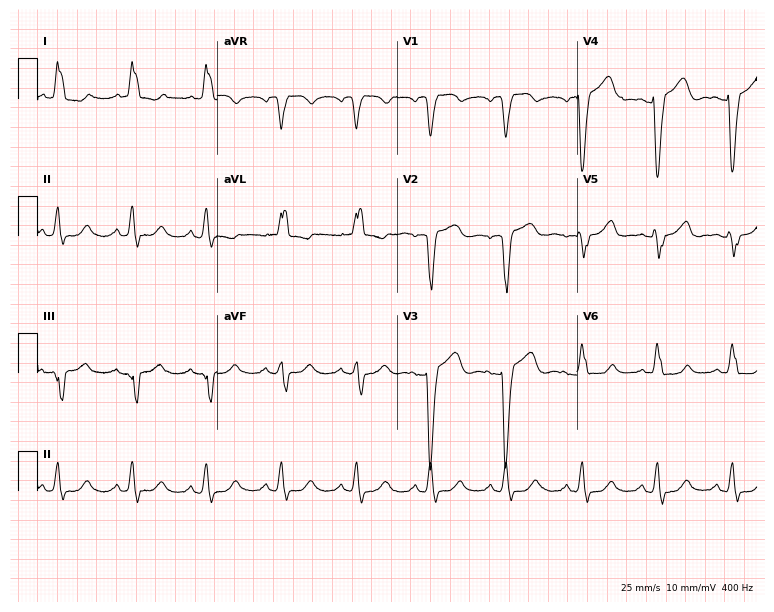
Standard 12-lead ECG recorded from a female, 68 years old. None of these six findings is recorded: first-degree AV block, right bundle branch block, left bundle branch block, sinus bradycardia, atrial fibrillation, sinus tachycardia. Findings outside these six are not listed.